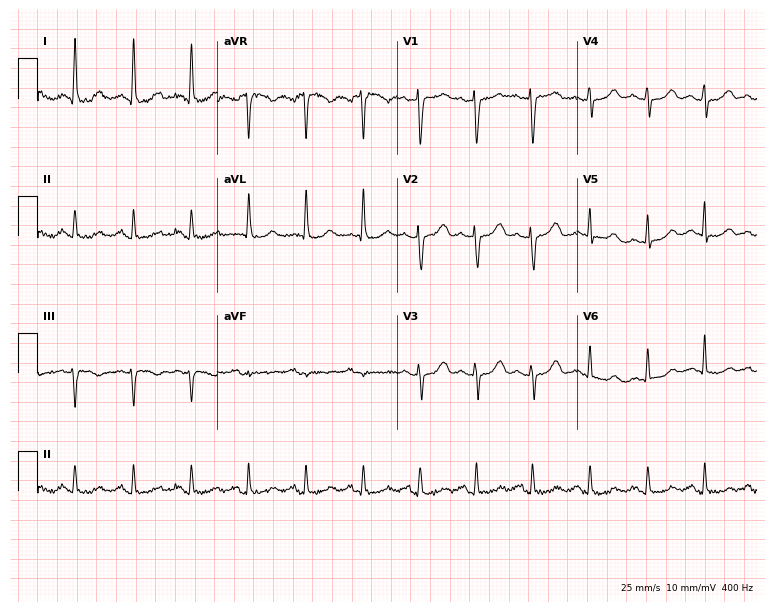
12-lead ECG from a woman, 58 years old. Shows sinus tachycardia (a sinus rate of 100 beats per minute or more).